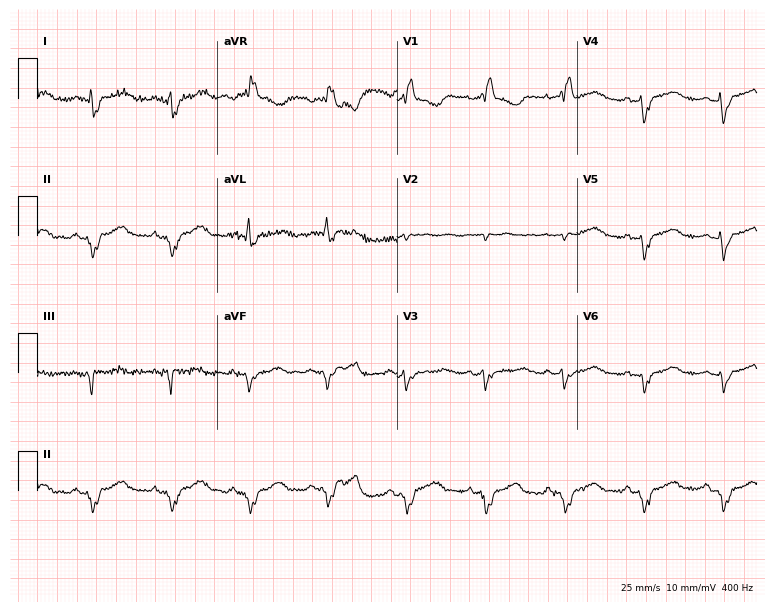
Standard 12-lead ECG recorded from a 42-year-old woman (7.3-second recording at 400 Hz). None of these six findings is recorded: first-degree AV block, right bundle branch block, left bundle branch block, sinus bradycardia, atrial fibrillation, sinus tachycardia.